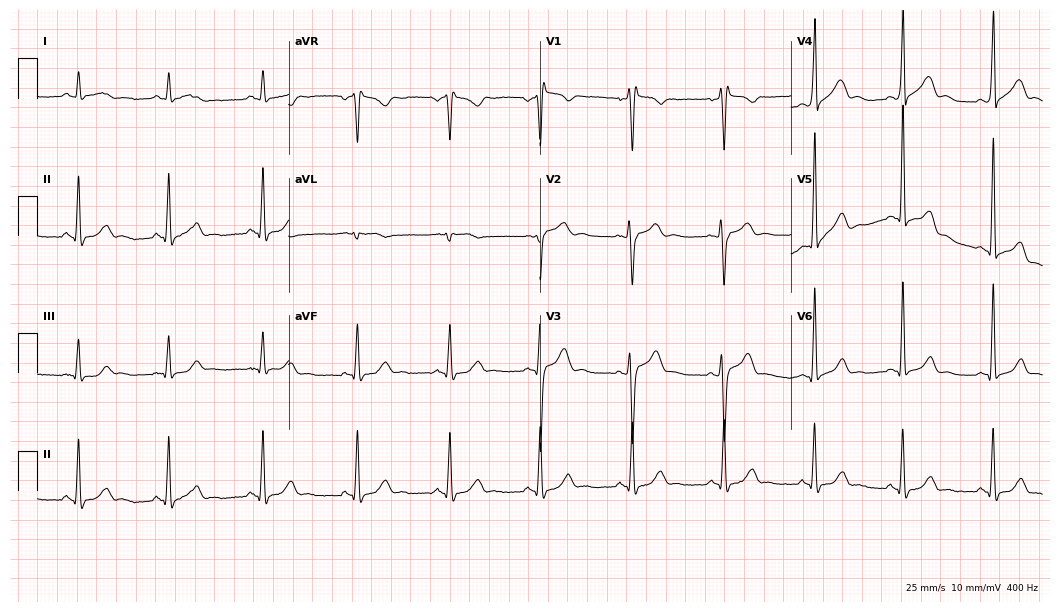
12-lead ECG from a 37-year-old male patient. No first-degree AV block, right bundle branch block, left bundle branch block, sinus bradycardia, atrial fibrillation or sinus tachycardia recorded for this tracing.